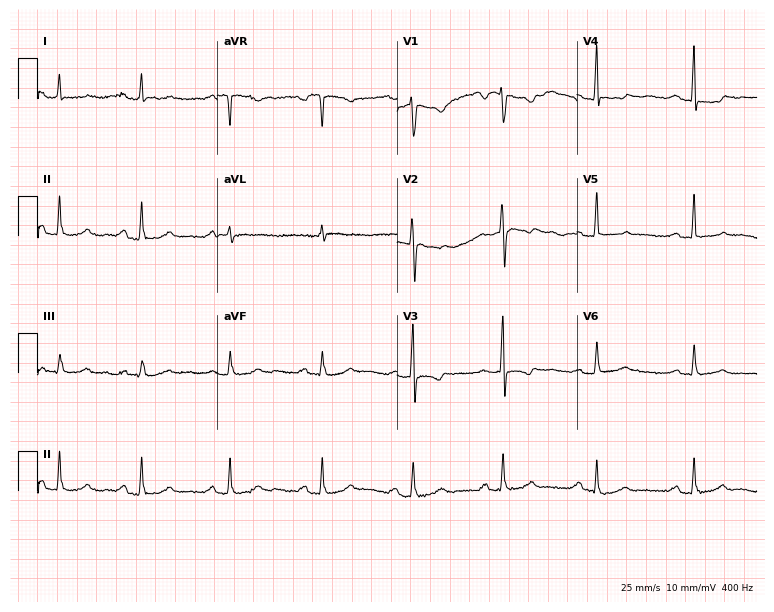
12-lead ECG from a 43-year-old woman. Screened for six findings — first-degree AV block, right bundle branch block, left bundle branch block, sinus bradycardia, atrial fibrillation, sinus tachycardia — none is recorded. Other findings, if any, are not listed.